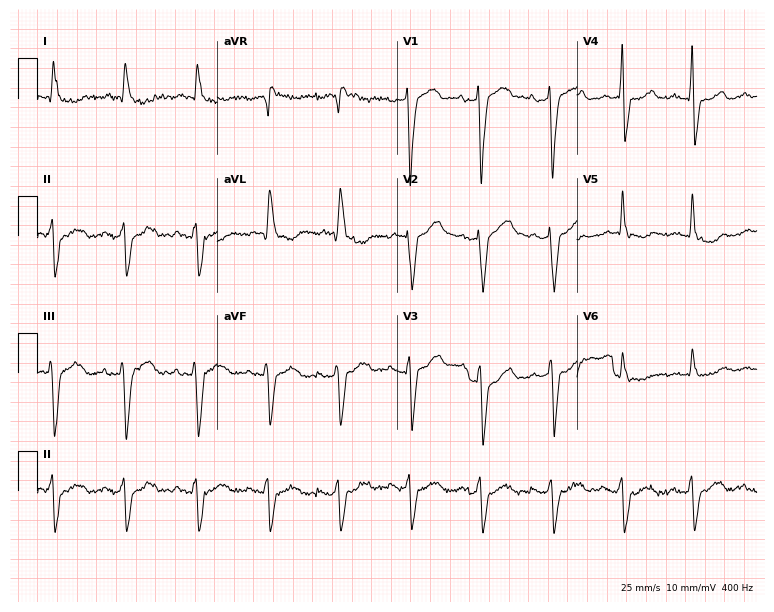
12-lead ECG (7.3-second recording at 400 Hz) from a male patient, 71 years old. Screened for six findings — first-degree AV block, right bundle branch block, left bundle branch block, sinus bradycardia, atrial fibrillation, sinus tachycardia — none is recorded.